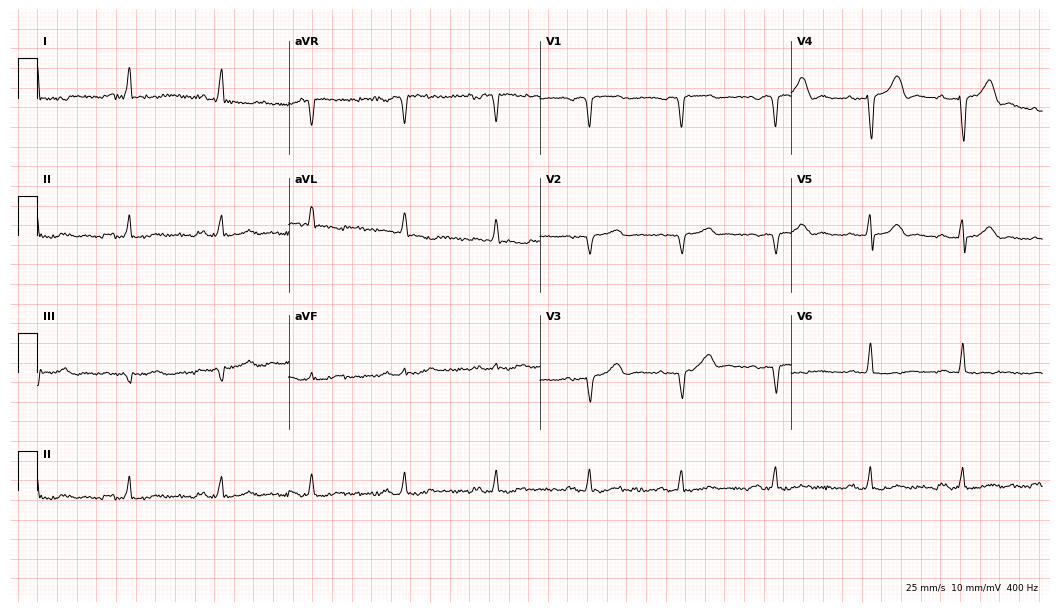
Standard 12-lead ECG recorded from a female patient, 55 years old. None of these six findings is recorded: first-degree AV block, right bundle branch block (RBBB), left bundle branch block (LBBB), sinus bradycardia, atrial fibrillation (AF), sinus tachycardia. Only these six findings were labelled.